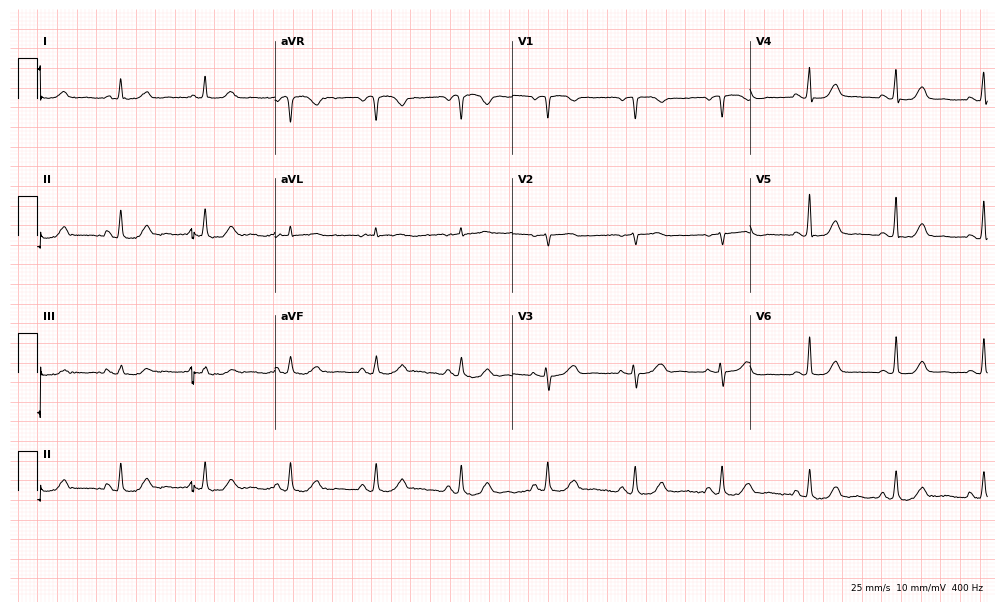
Standard 12-lead ECG recorded from a female patient, 71 years old (9.7-second recording at 400 Hz). None of these six findings is recorded: first-degree AV block, right bundle branch block (RBBB), left bundle branch block (LBBB), sinus bradycardia, atrial fibrillation (AF), sinus tachycardia.